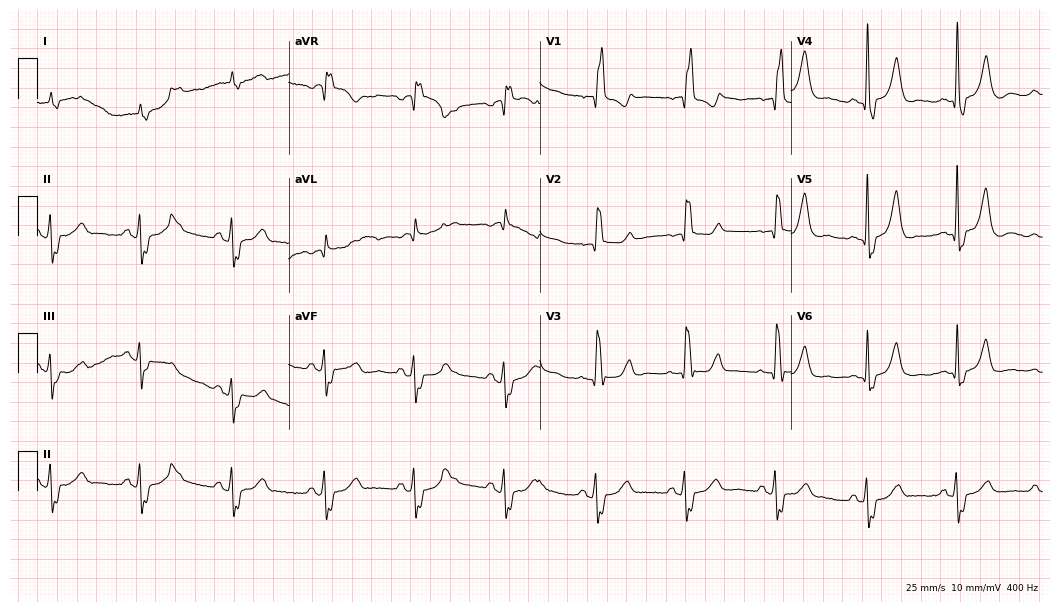
ECG — a male patient, 75 years old. Findings include right bundle branch block (RBBB).